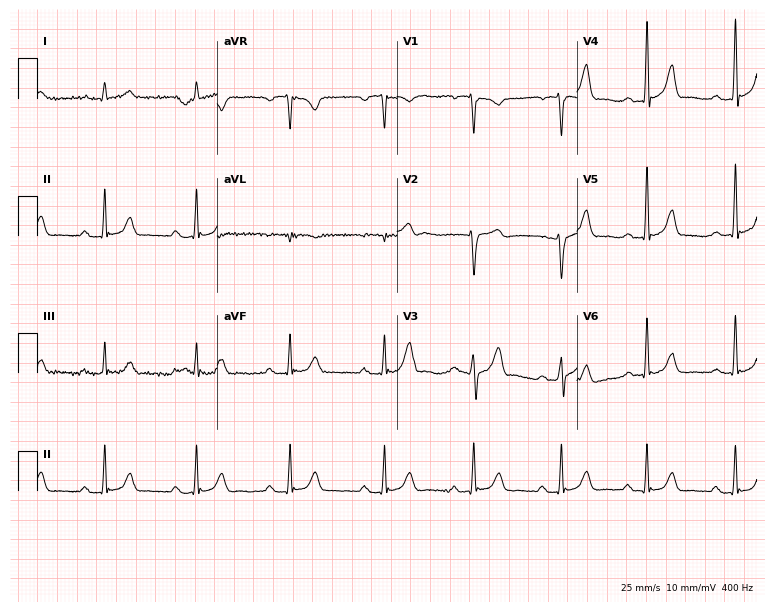
Resting 12-lead electrocardiogram (7.3-second recording at 400 Hz). Patient: a male, 54 years old. Read as a normal ECG.